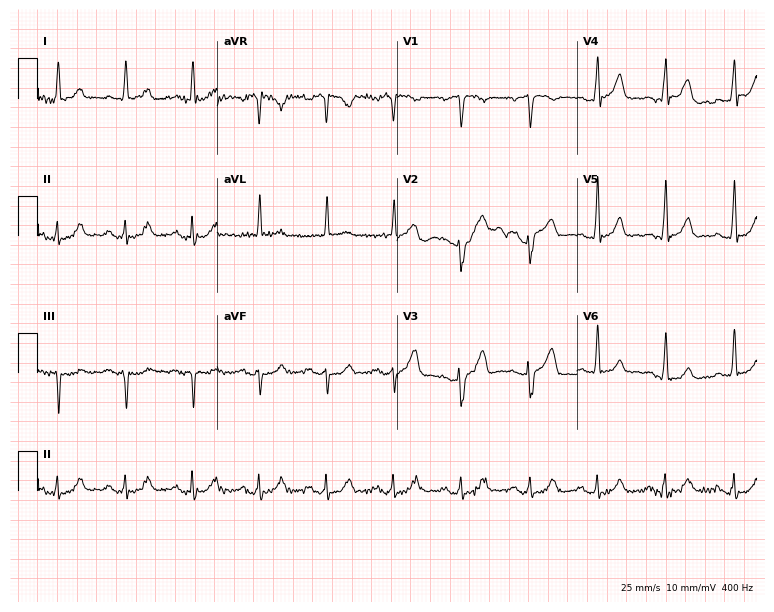
Resting 12-lead electrocardiogram (7.3-second recording at 400 Hz). Patient: a male, 78 years old. Read as a normal ECG.